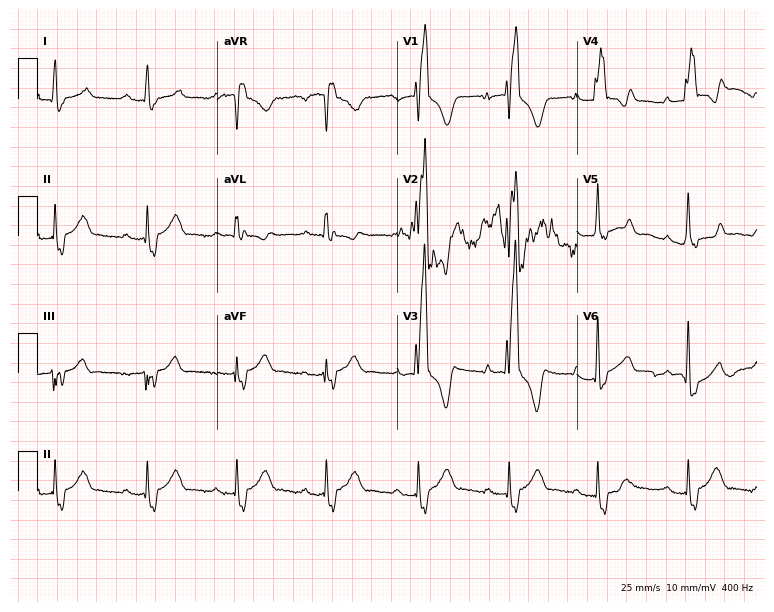
Standard 12-lead ECG recorded from a man, 25 years old (7.3-second recording at 400 Hz). The tracing shows right bundle branch block (RBBB).